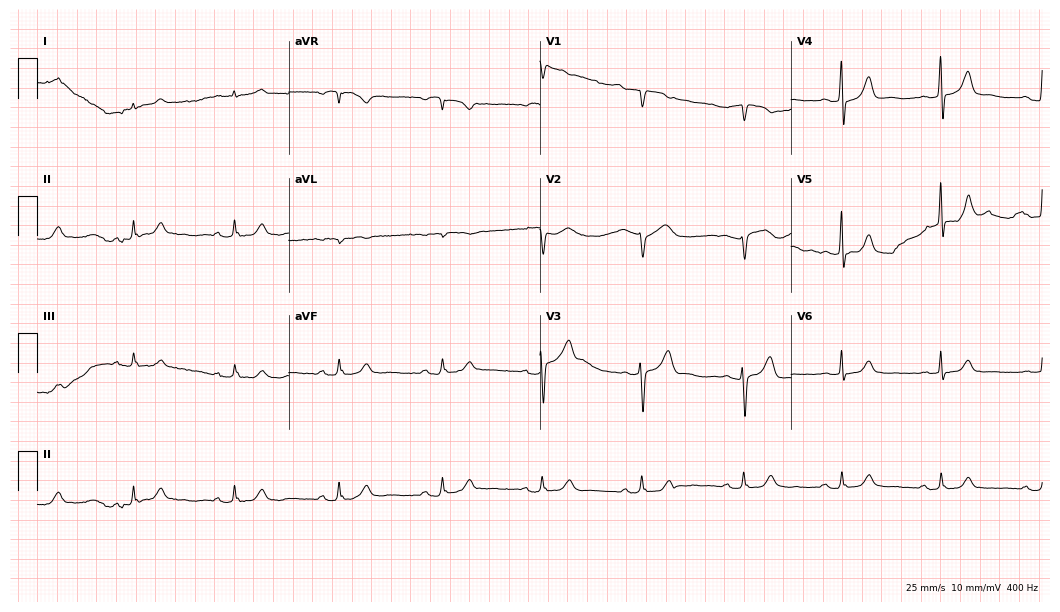
12-lead ECG from a male, 77 years old. Recorded interpretation: within normal limits.